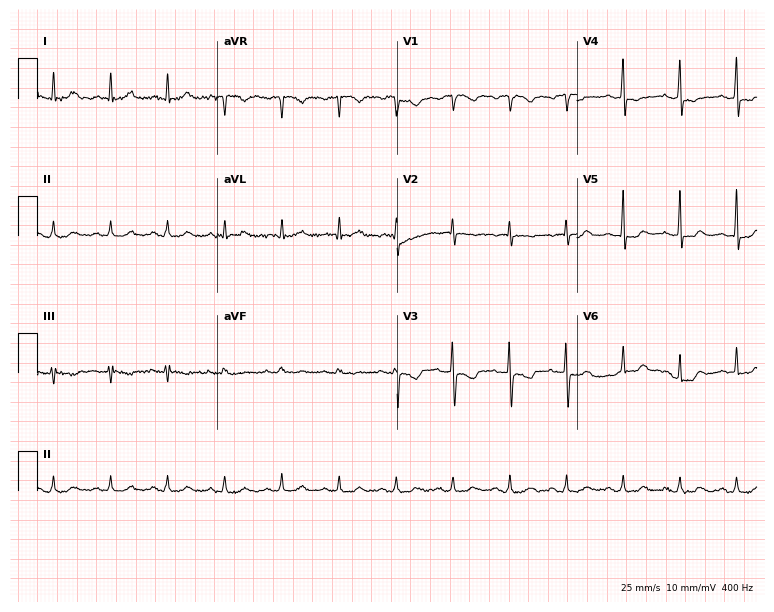
Standard 12-lead ECG recorded from a 43-year-old female (7.3-second recording at 400 Hz). None of these six findings is recorded: first-degree AV block, right bundle branch block, left bundle branch block, sinus bradycardia, atrial fibrillation, sinus tachycardia. Other findings, if any, are not listed.